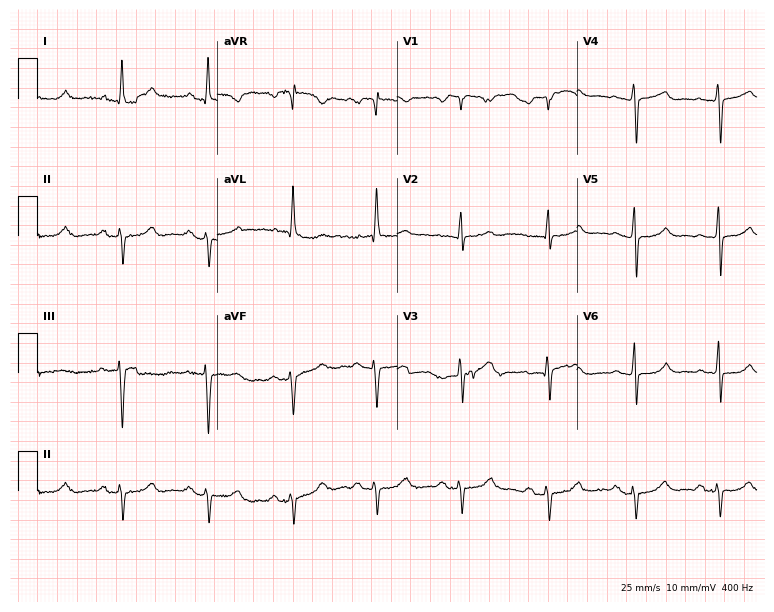
12-lead ECG from a female, 65 years old. No first-degree AV block, right bundle branch block, left bundle branch block, sinus bradycardia, atrial fibrillation or sinus tachycardia recorded for this tracing.